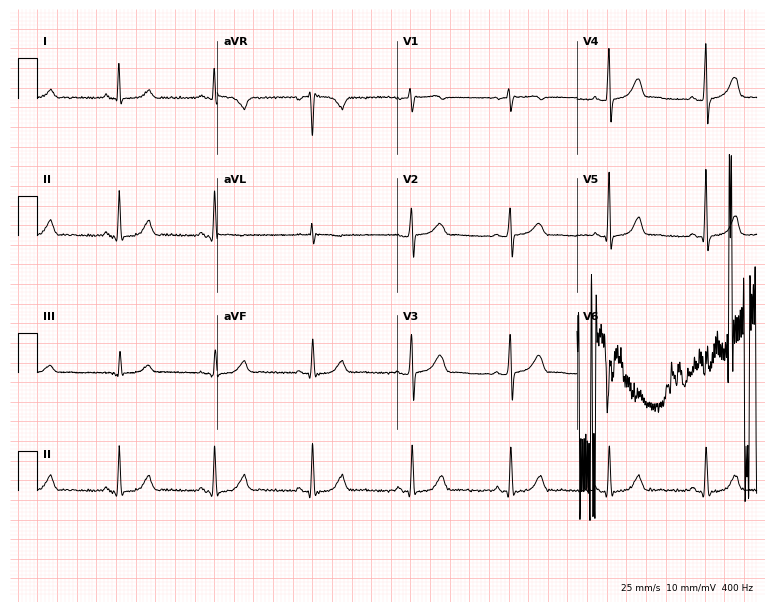
Electrocardiogram (7.3-second recording at 400 Hz), a 56-year-old female. Of the six screened findings (first-degree AV block, right bundle branch block, left bundle branch block, sinus bradycardia, atrial fibrillation, sinus tachycardia), none is recorded.